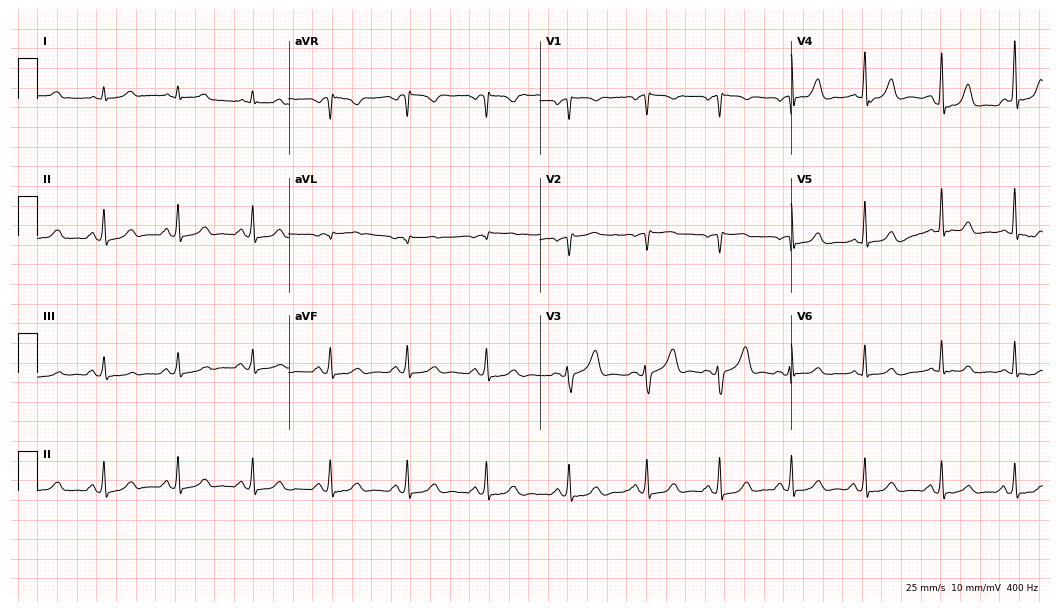
ECG (10.2-second recording at 400 Hz) — a woman, 36 years old. Labelled as a normal ECG.